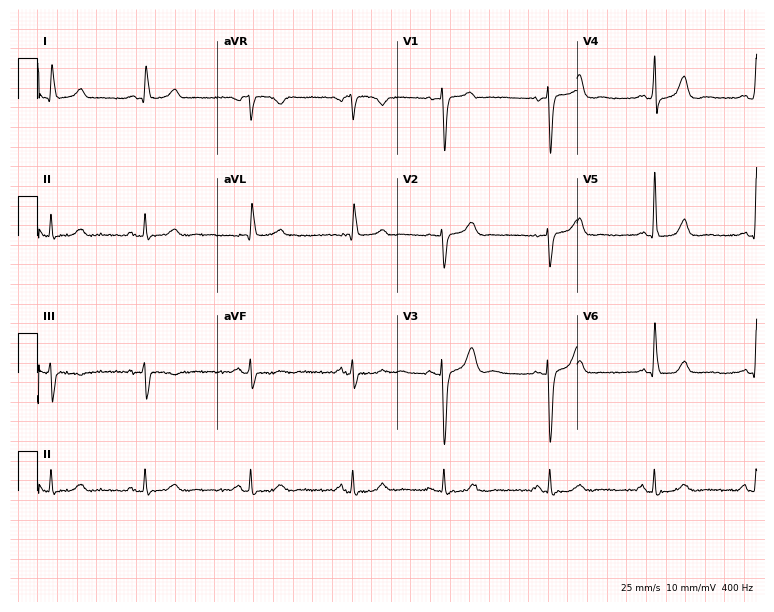
12-lead ECG from an 85-year-old female patient (7.3-second recording at 400 Hz). Recorded interpretation: within normal limits.